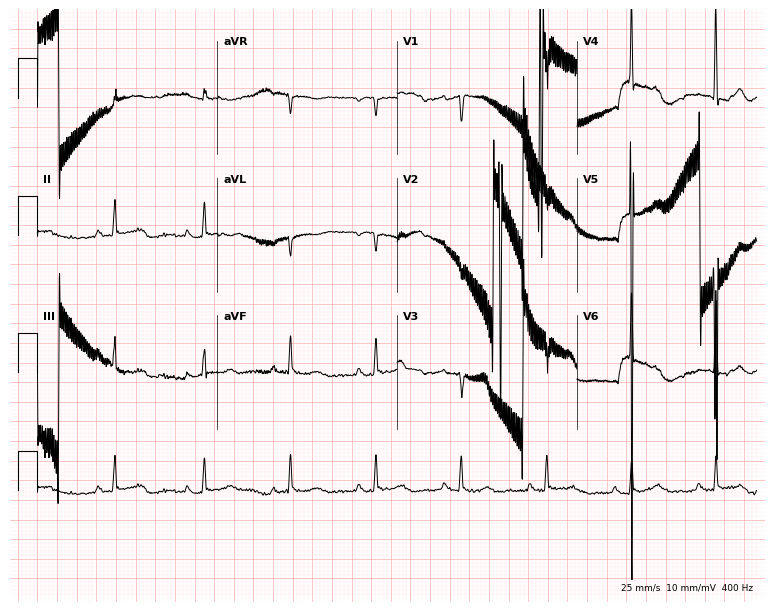
Resting 12-lead electrocardiogram. Patient: a woman, 80 years old. None of these six findings is recorded: first-degree AV block, right bundle branch block, left bundle branch block, sinus bradycardia, atrial fibrillation, sinus tachycardia. Other findings, if any, are not listed.